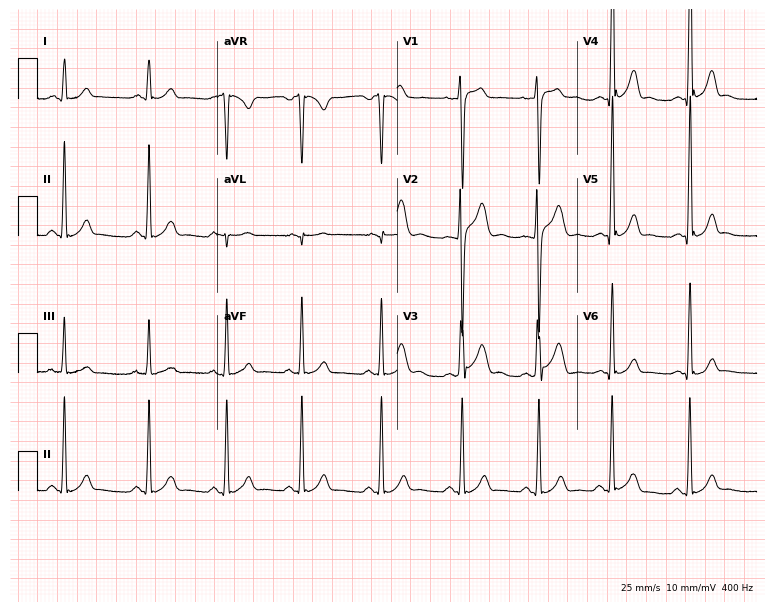
12-lead ECG from a man, 18 years old. Labelled as a normal ECG.